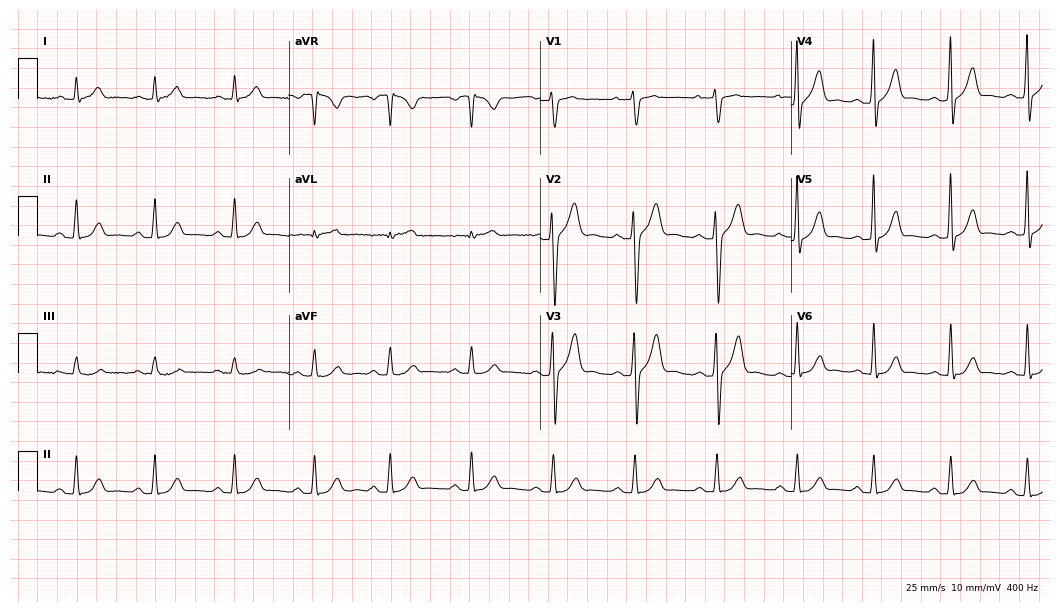
Electrocardiogram, a male, 38 years old. Of the six screened findings (first-degree AV block, right bundle branch block, left bundle branch block, sinus bradycardia, atrial fibrillation, sinus tachycardia), none is recorded. Only these six findings were labelled.